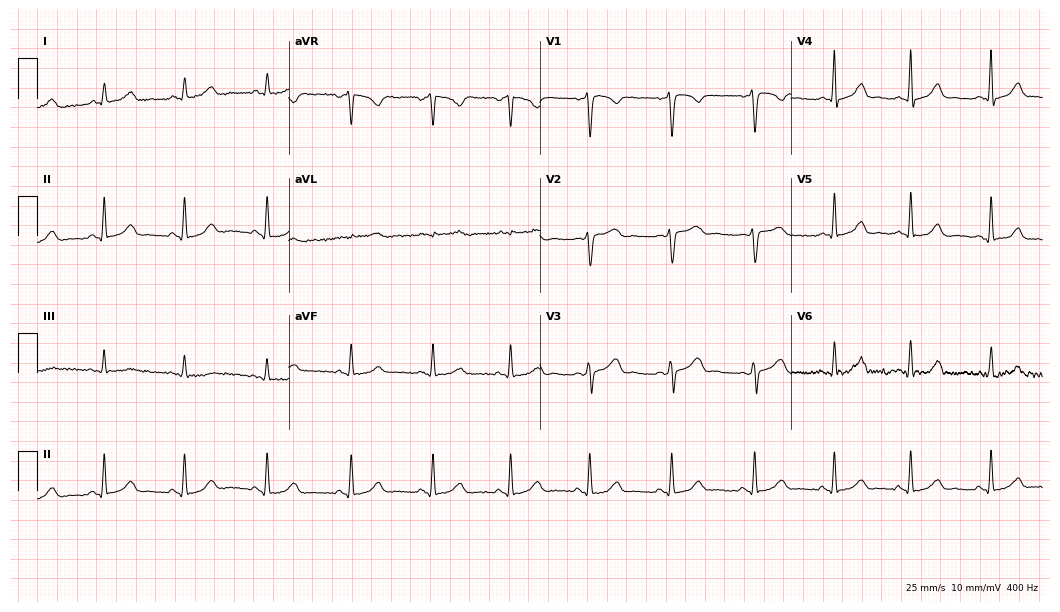
Electrocardiogram (10.2-second recording at 400 Hz), a female patient, 35 years old. Overall reading on record: normal ECG.